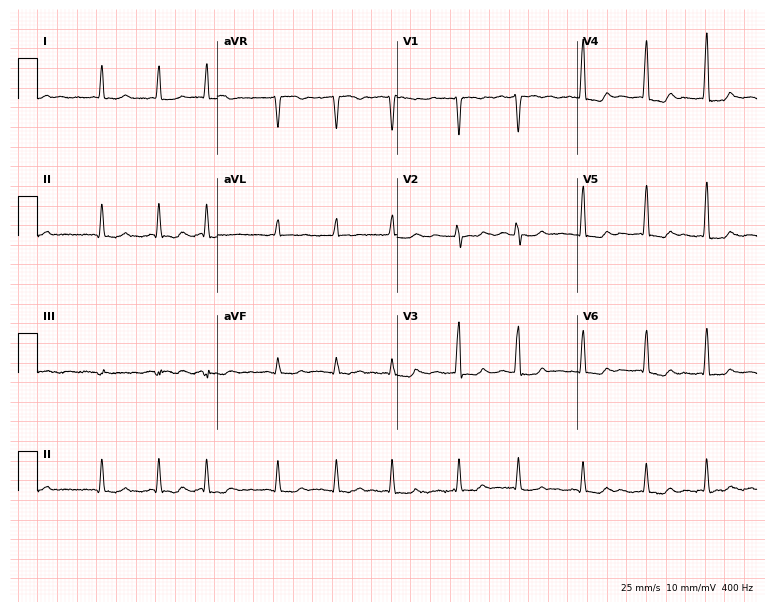
Electrocardiogram, a 69-year-old woman. Interpretation includes atrial fibrillation (AF).